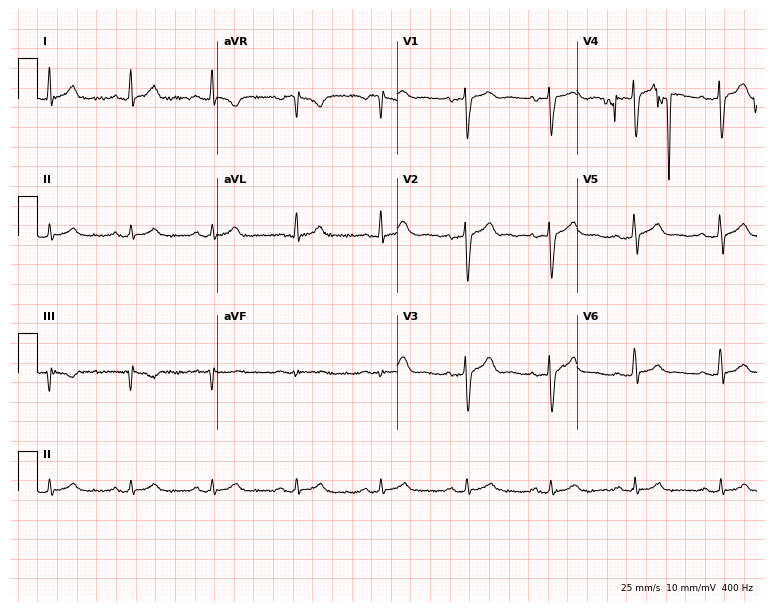
12-lead ECG (7.3-second recording at 400 Hz) from a 42-year-old male. Screened for six findings — first-degree AV block, right bundle branch block (RBBB), left bundle branch block (LBBB), sinus bradycardia, atrial fibrillation (AF), sinus tachycardia — none is recorded.